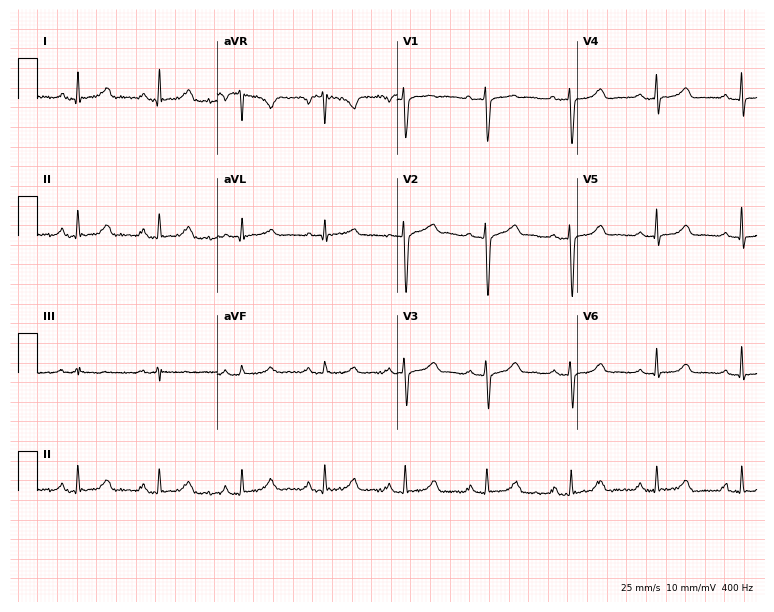
Resting 12-lead electrocardiogram. Patient: a 47-year-old female. None of these six findings is recorded: first-degree AV block, right bundle branch block, left bundle branch block, sinus bradycardia, atrial fibrillation, sinus tachycardia.